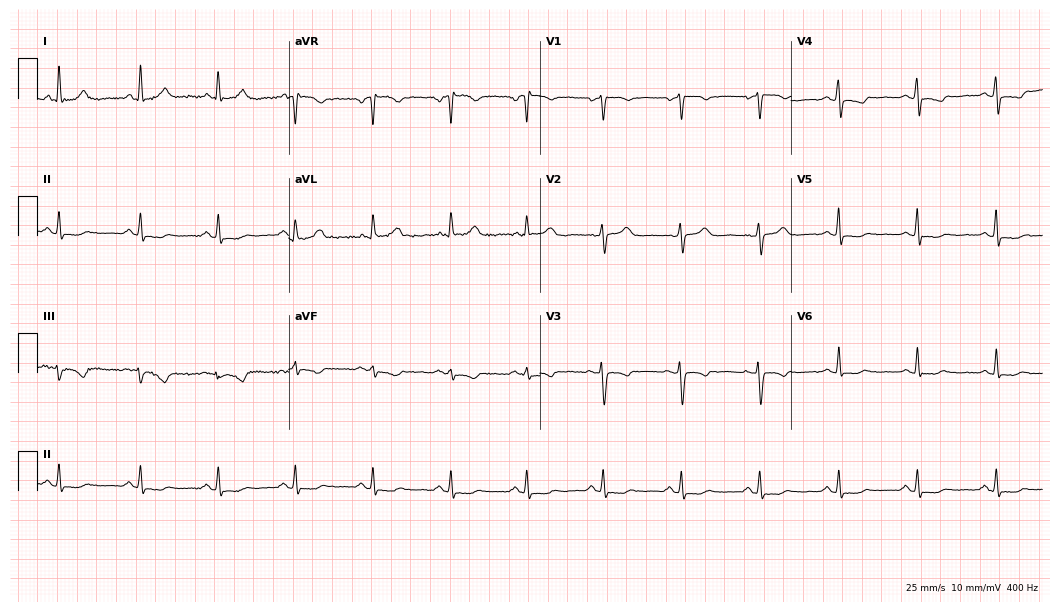
Standard 12-lead ECG recorded from a female, 53 years old. None of these six findings is recorded: first-degree AV block, right bundle branch block, left bundle branch block, sinus bradycardia, atrial fibrillation, sinus tachycardia. Other findings, if any, are not listed.